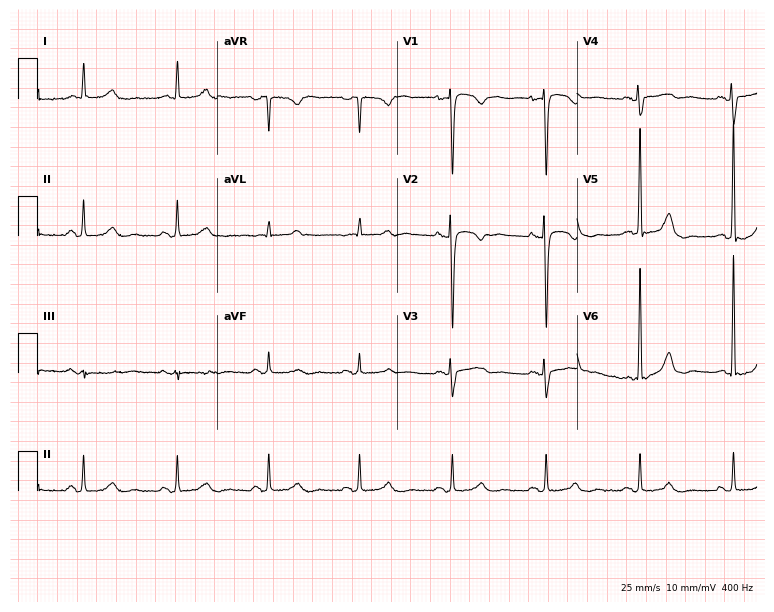
Electrocardiogram, a woman, 67 years old. Of the six screened findings (first-degree AV block, right bundle branch block (RBBB), left bundle branch block (LBBB), sinus bradycardia, atrial fibrillation (AF), sinus tachycardia), none is recorded.